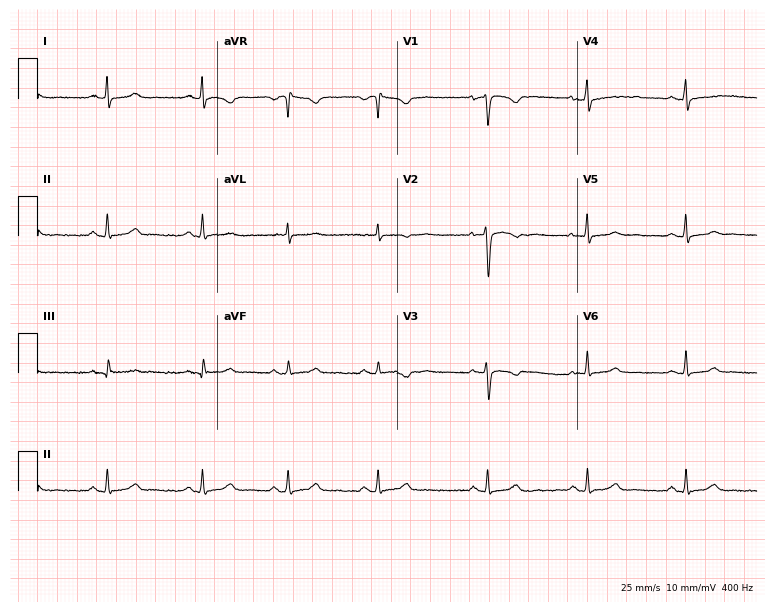
ECG (7.3-second recording at 400 Hz) — a 28-year-old female patient. Screened for six findings — first-degree AV block, right bundle branch block (RBBB), left bundle branch block (LBBB), sinus bradycardia, atrial fibrillation (AF), sinus tachycardia — none is recorded. Findings outside these six are not listed.